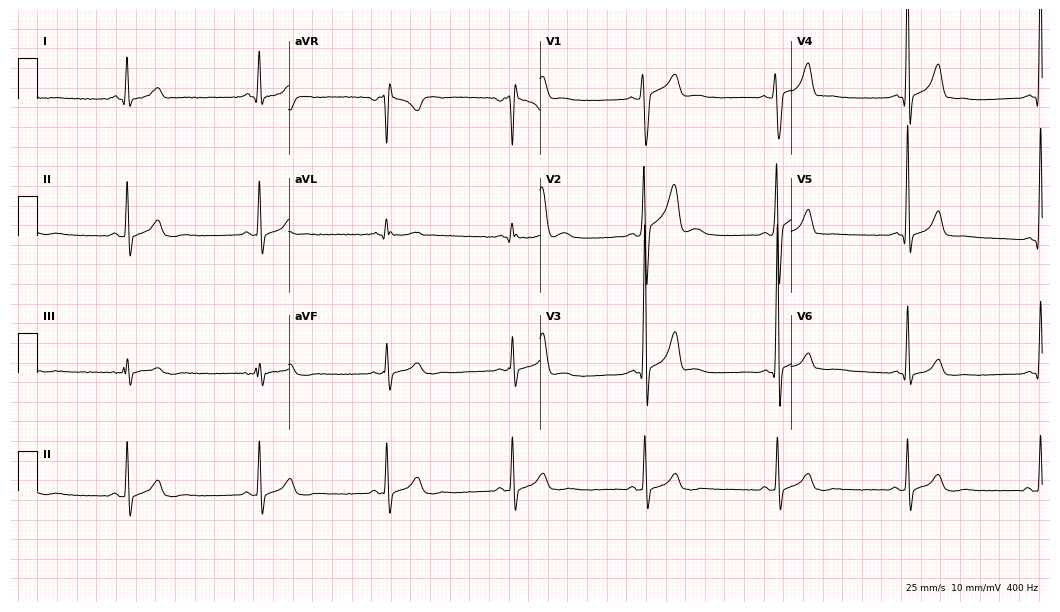
12-lead ECG (10.2-second recording at 400 Hz) from a male patient, 17 years old. Findings include sinus bradycardia (a sinus rate of 50 beats per minute or less).